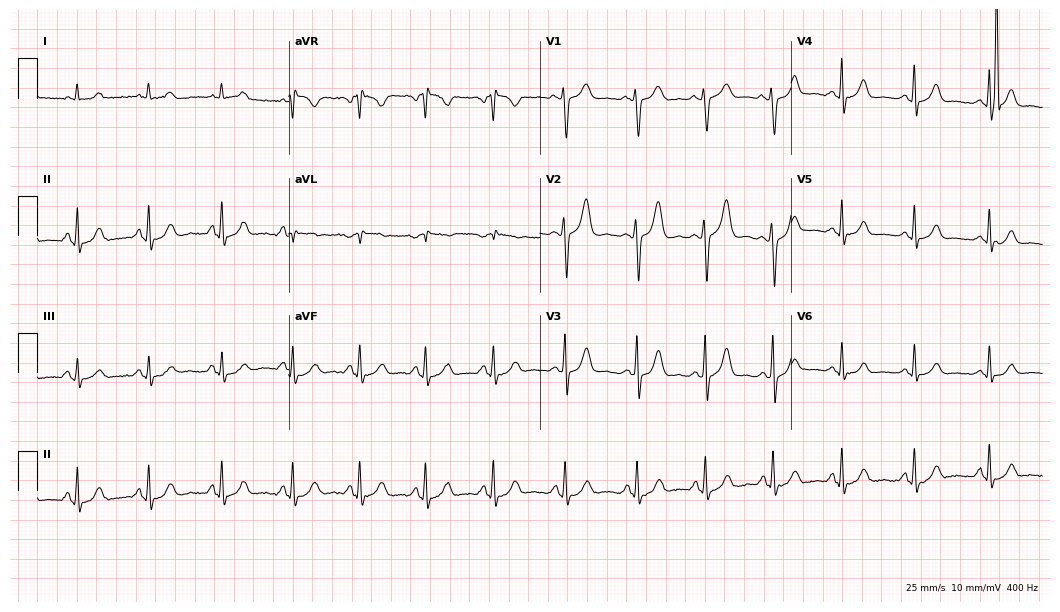
ECG (10.2-second recording at 400 Hz) — a female, 27 years old. Screened for six findings — first-degree AV block, right bundle branch block (RBBB), left bundle branch block (LBBB), sinus bradycardia, atrial fibrillation (AF), sinus tachycardia — none is recorded.